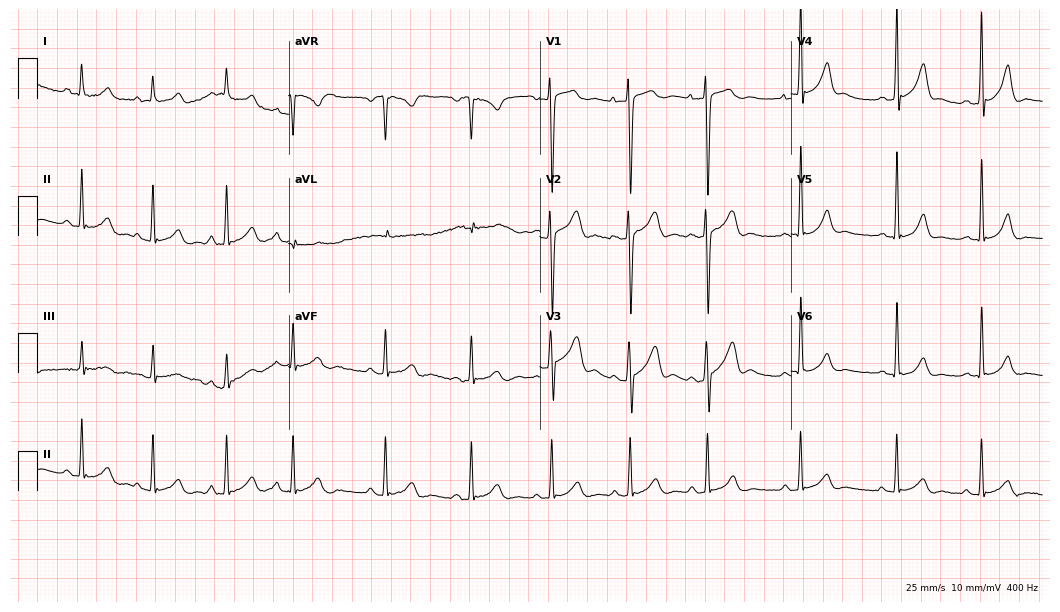
ECG (10.2-second recording at 400 Hz) — a 17-year-old man. Screened for six findings — first-degree AV block, right bundle branch block, left bundle branch block, sinus bradycardia, atrial fibrillation, sinus tachycardia — none is recorded. Other findings, if any, are not listed.